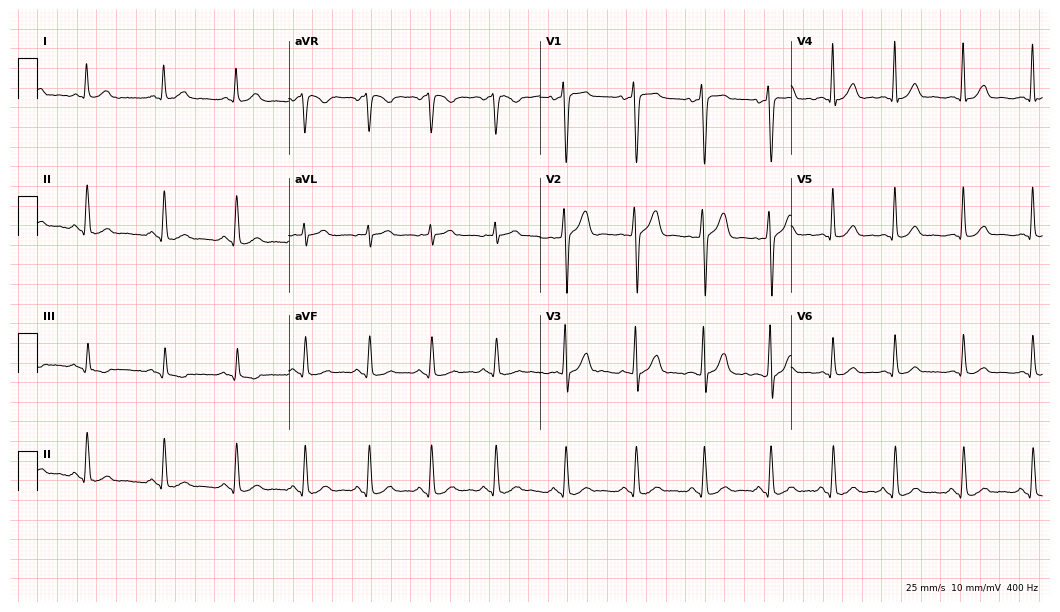
ECG — a 36-year-old male patient. Labelled as a normal ECG.